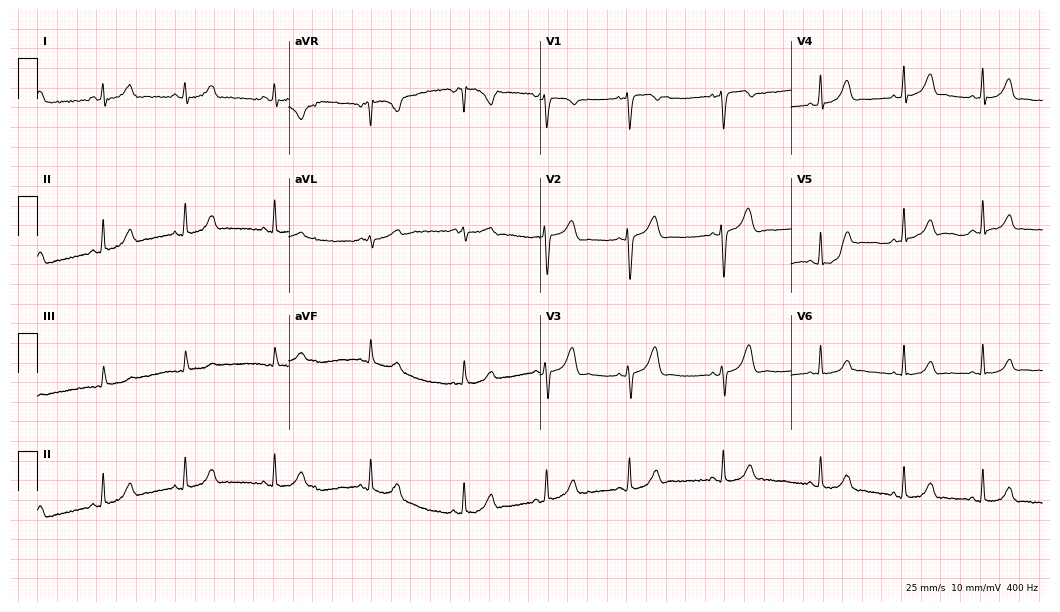
12-lead ECG from a female patient, 27 years old. Labelled as a normal ECG.